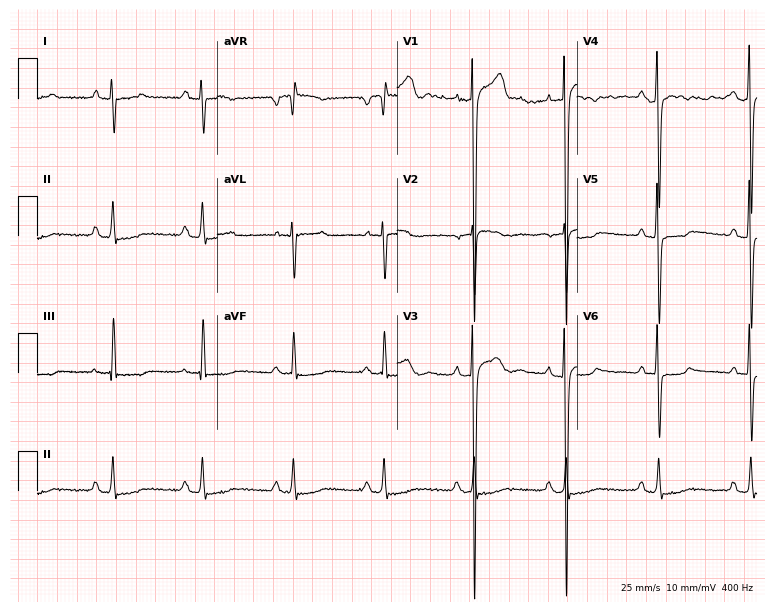
ECG — a male patient, 31 years old. Screened for six findings — first-degree AV block, right bundle branch block, left bundle branch block, sinus bradycardia, atrial fibrillation, sinus tachycardia — none is recorded. Only these six findings were labelled.